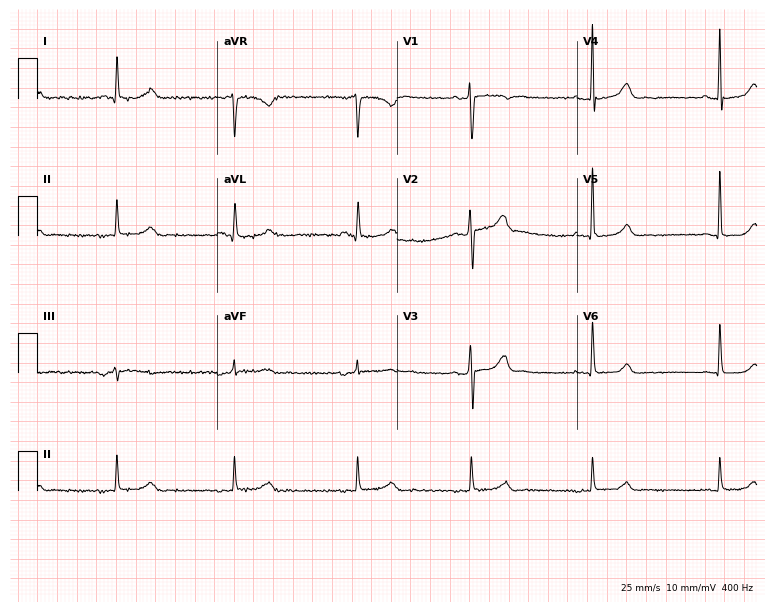
Electrocardiogram, a male patient, 61 years old. Interpretation includes sinus bradycardia (a sinus rate of 50 beats per minute or less).